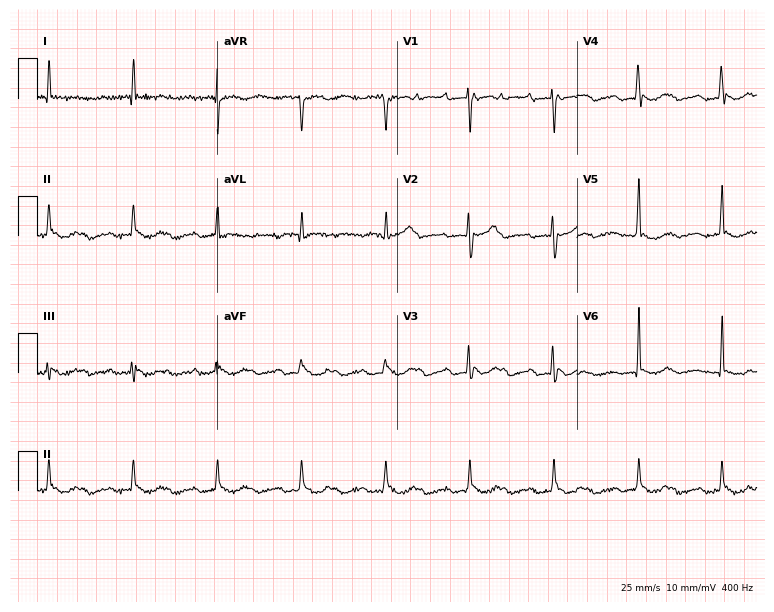
Electrocardiogram, a female, 83 years old. Interpretation includes first-degree AV block.